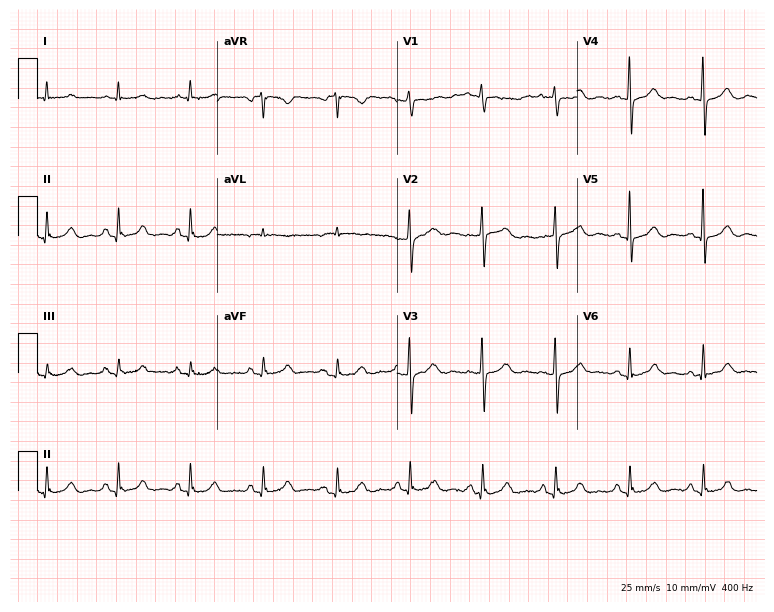
Standard 12-lead ECG recorded from a 55-year-old woman (7.3-second recording at 400 Hz). Read as a normal ECG.